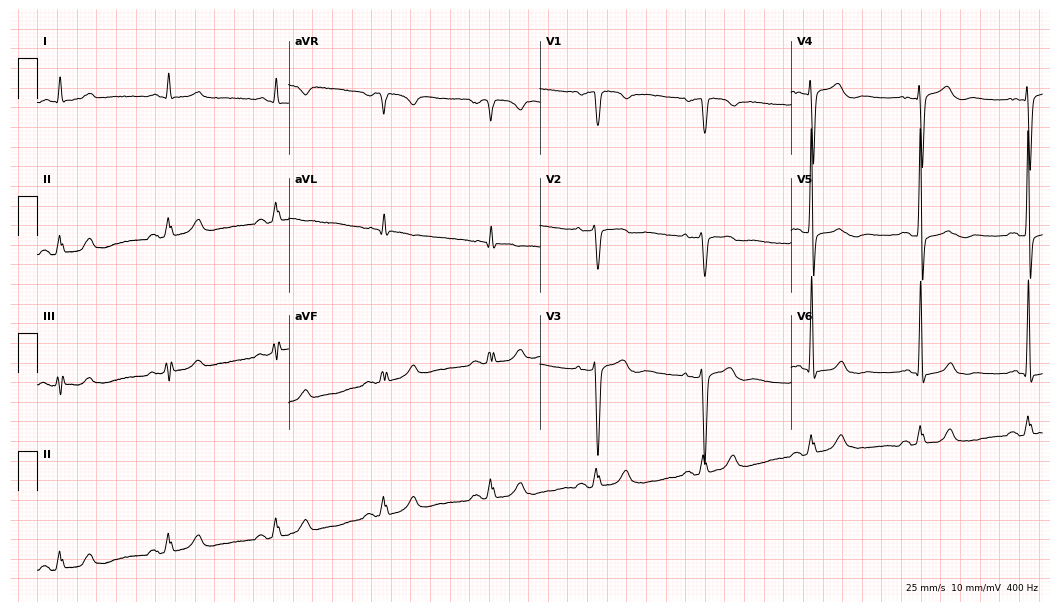
12-lead ECG from a 55-year-old man. Screened for six findings — first-degree AV block, right bundle branch block (RBBB), left bundle branch block (LBBB), sinus bradycardia, atrial fibrillation (AF), sinus tachycardia — none is recorded. Findings outside these six are not listed.